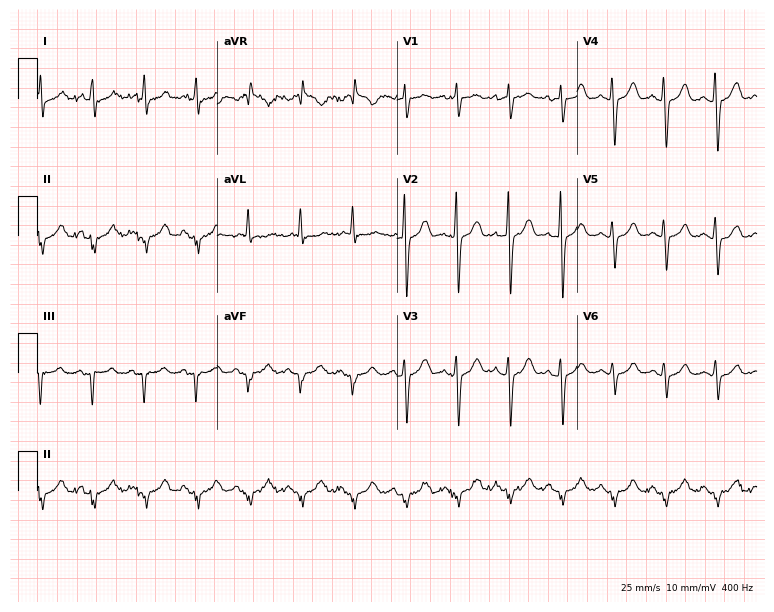
12-lead ECG (7.3-second recording at 400 Hz) from an 83-year-old man. Findings include sinus tachycardia (a sinus rate of 100 beats per minute or more).